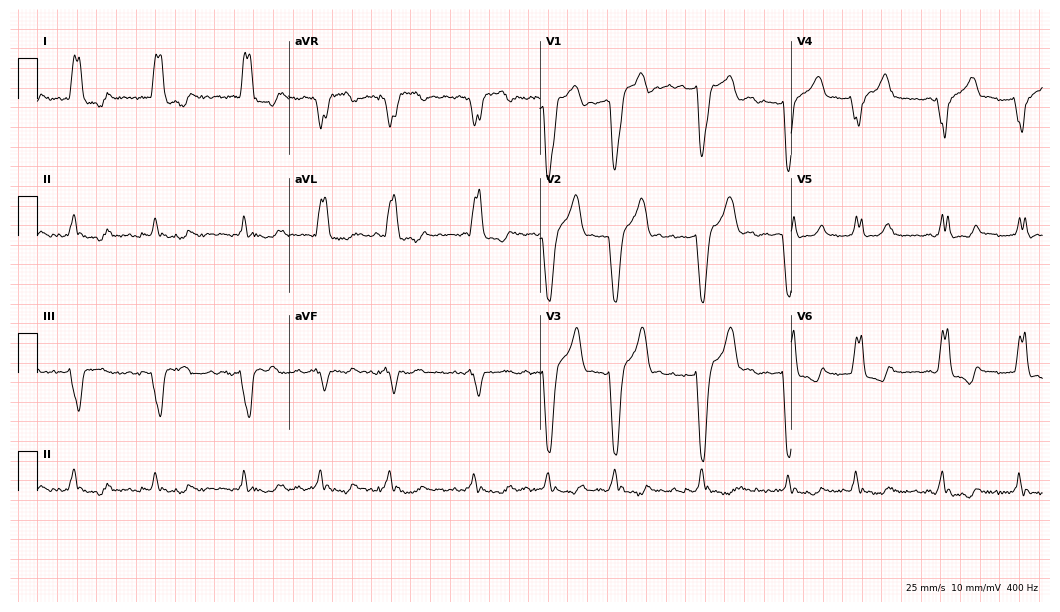
Standard 12-lead ECG recorded from a man, 58 years old. The tracing shows left bundle branch block, atrial fibrillation.